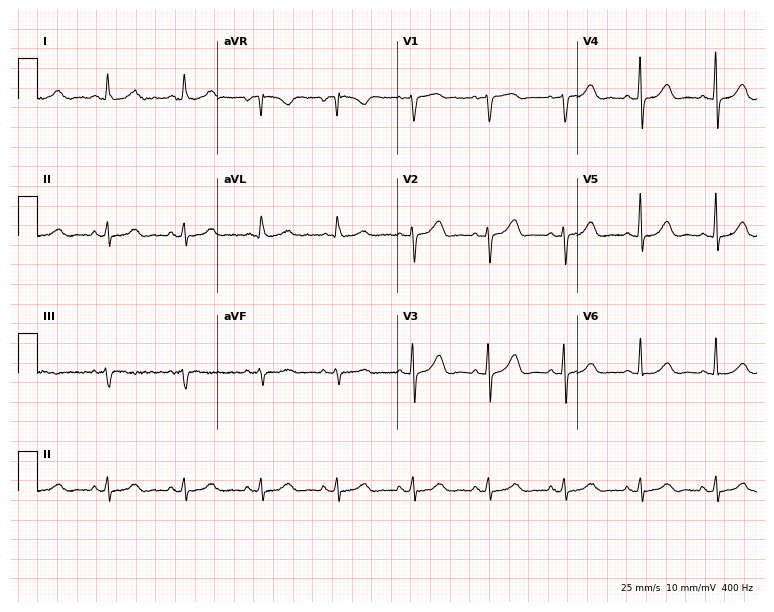
ECG — a female, 65 years old. Screened for six findings — first-degree AV block, right bundle branch block, left bundle branch block, sinus bradycardia, atrial fibrillation, sinus tachycardia — none is recorded. Findings outside these six are not listed.